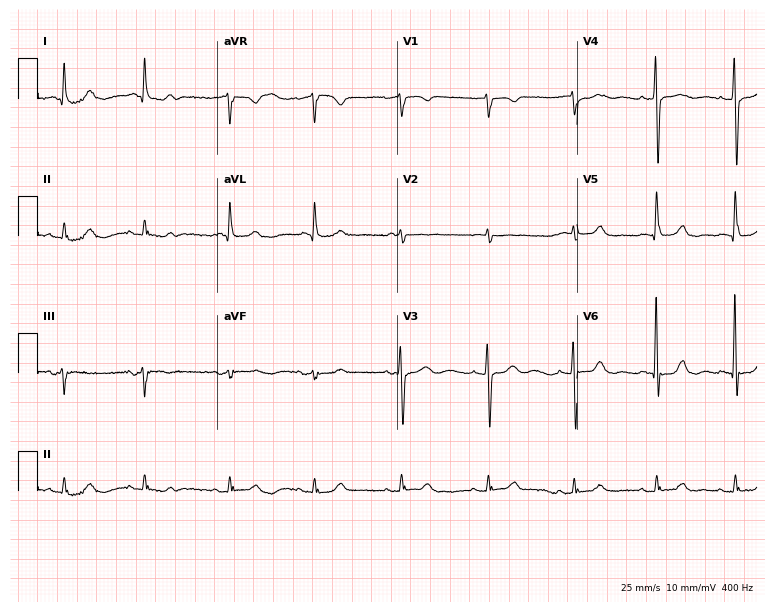
Resting 12-lead electrocardiogram (7.3-second recording at 400 Hz). Patient: an 83-year-old female. None of these six findings is recorded: first-degree AV block, right bundle branch block, left bundle branch block, sinus bradycardia, atrial fibrillation, sinus tachycardia. Other findings, if any, are not listed.